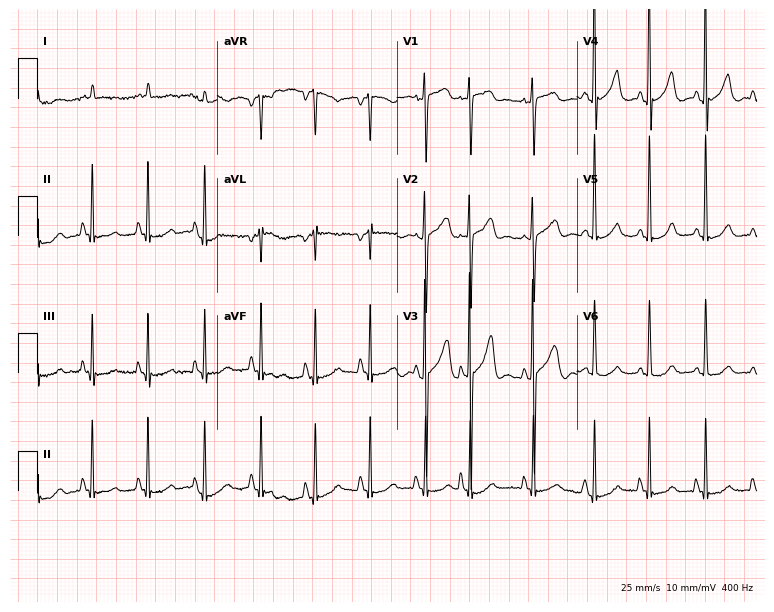
Standard 12-lead ECG recorded from a female, 79 years old (7.3-second recording at 400 Hz). None of these six findings is recorded: first-degree AV block, right bundle branch block (RBBB), left bundle branch block (LBBB), sinus bradycardia, atrial fibrillation (AF), sinus tachycardia. Only these six findings were labelled.